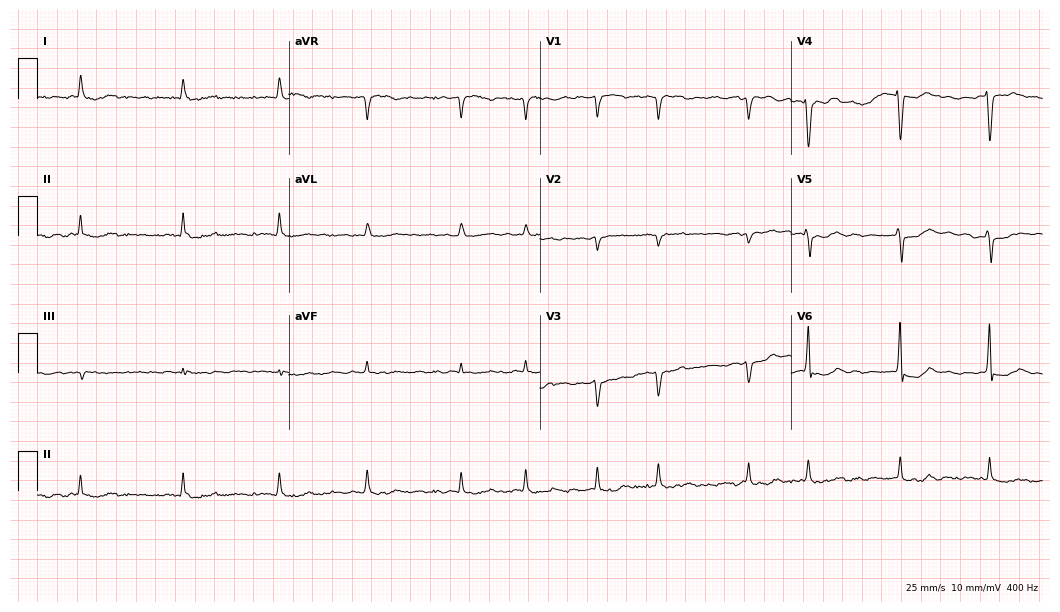
ECG — a man, 77 years old. Findings include atrial fibrillation (AF).